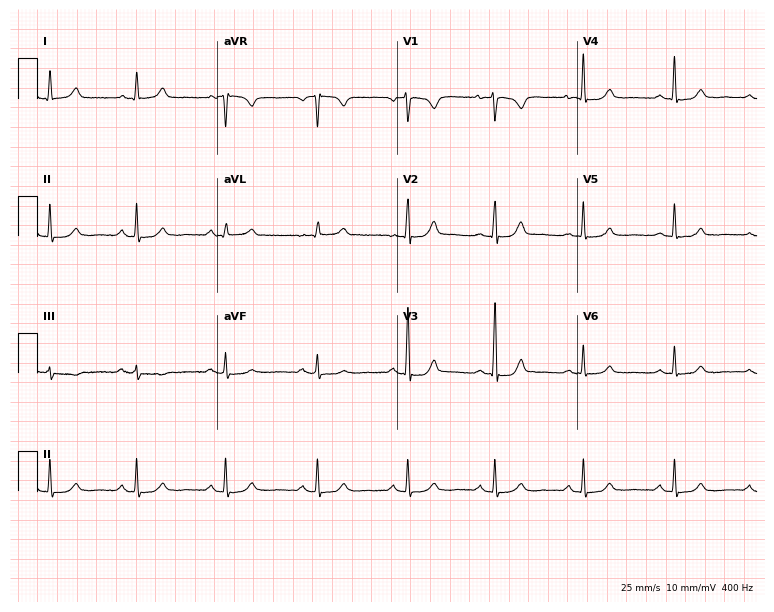
Standard 12-lead ECG recorded from a female, 47 years old (7.3-second recording at 400 Hz). Read as a normal ECG.